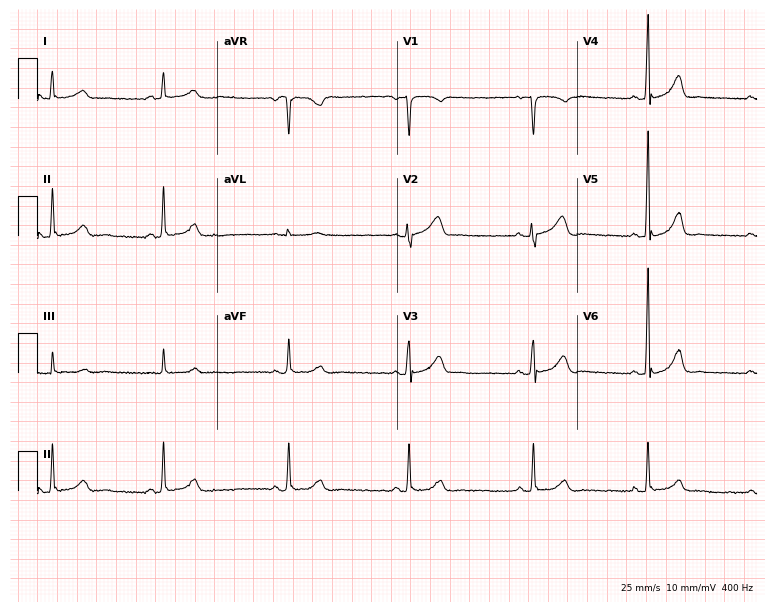
Resting 12-lead electrocardiogram (7.3-second recording at 400 Hz). Patient: a male, 35 years old. The tracing shows sinus bradycardia (a sinus rate of 50 beats per minute or less).